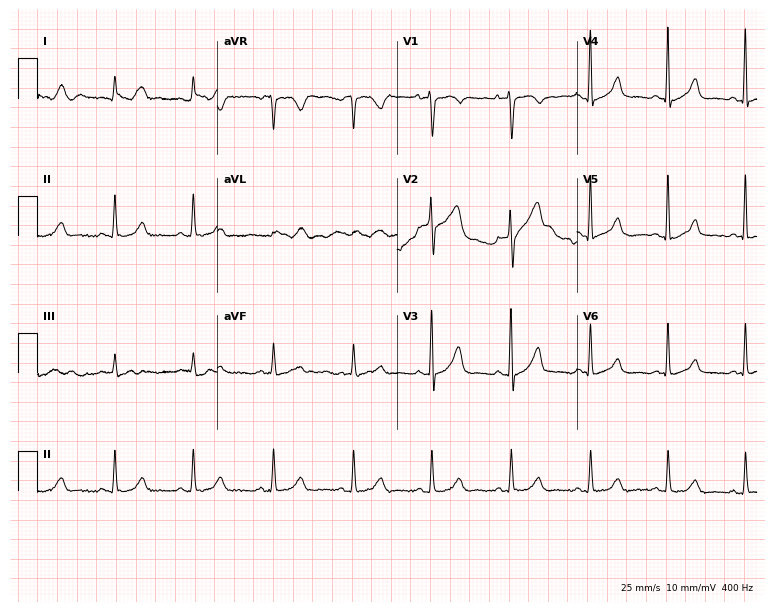
12-lead ECG from a 41-year-old female. No first-degree AV block, right bundle branch block (RBBB), left bundle branch block (LBBB), sinus bradycardia, atrial fibrillation (AF) or sinus tachycardia recorded for this tracing. Findings outside these six are not listed.